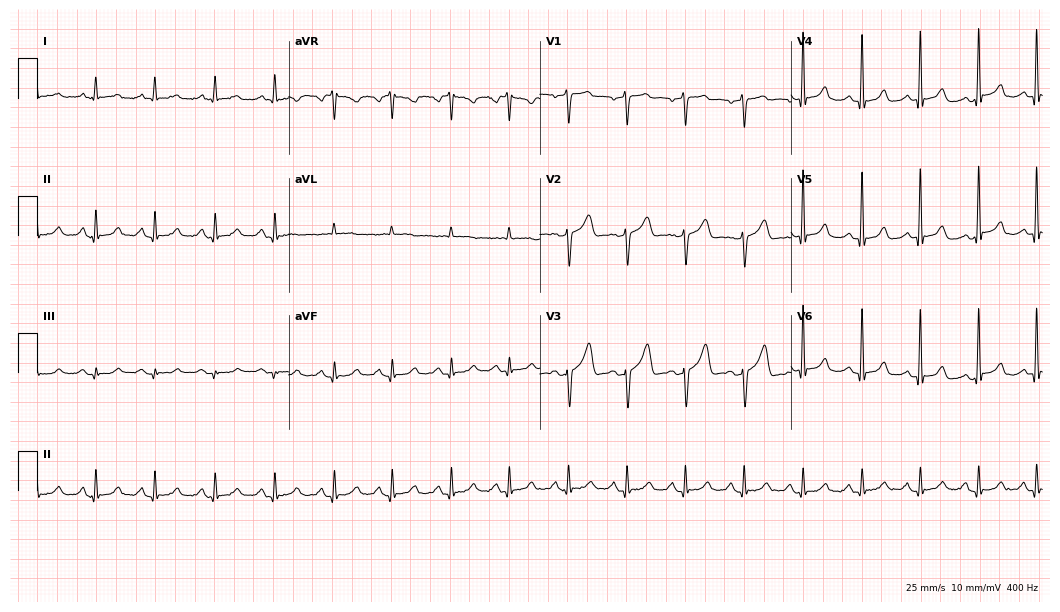
Electrocardiogram, a man, 66 years old. Overall reading on record: normal ECG.